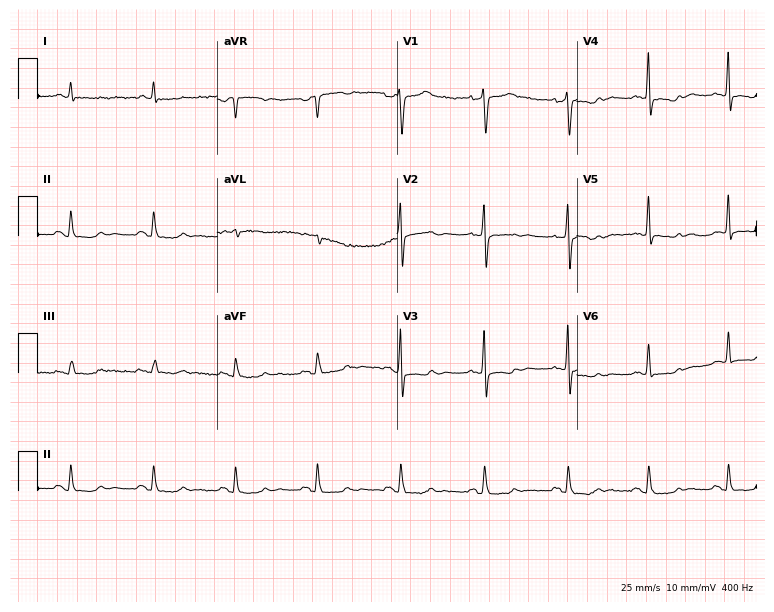
Resting 12-lead electrocardiogram (7.3-second recording at 400 Hz). Patient: a male, 62 years old. None of these six findings is recorded: first-degree AV block, right bundle branch block, left bundle branch block, sinus bradycardia, atrial fibrillation, sinus tachycardia. Other findings, if any, are not listed.